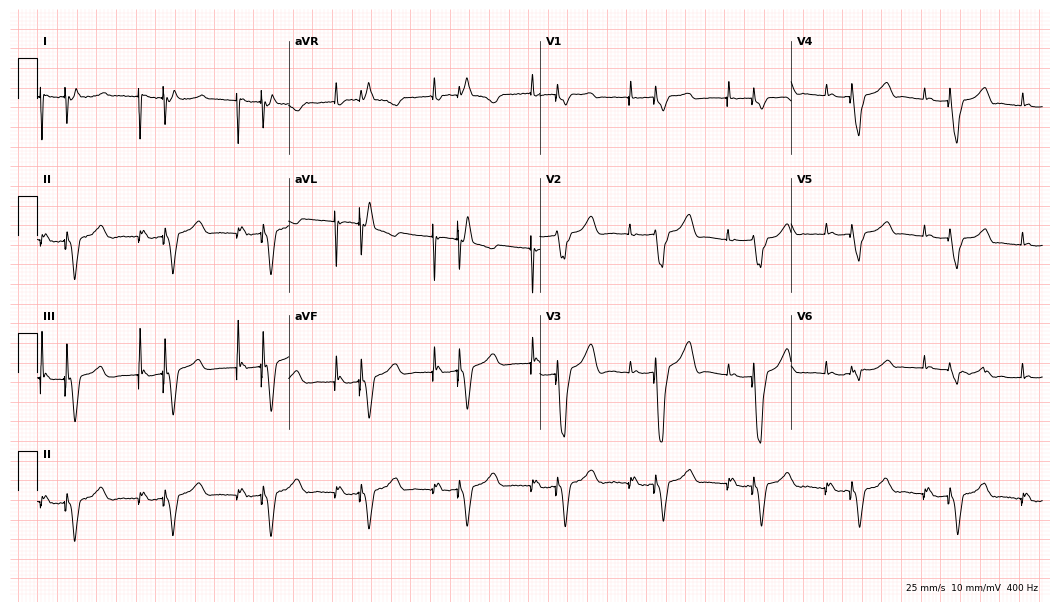
12-lead ECG from a woman, 72 years old (10.2-second recording at 400 Hz). No first-degree AV block, right bundle branch block, left bundle branch block, sinus bradycardia, atrial fibrillation or sinus tachycardia recorded for this tracing.